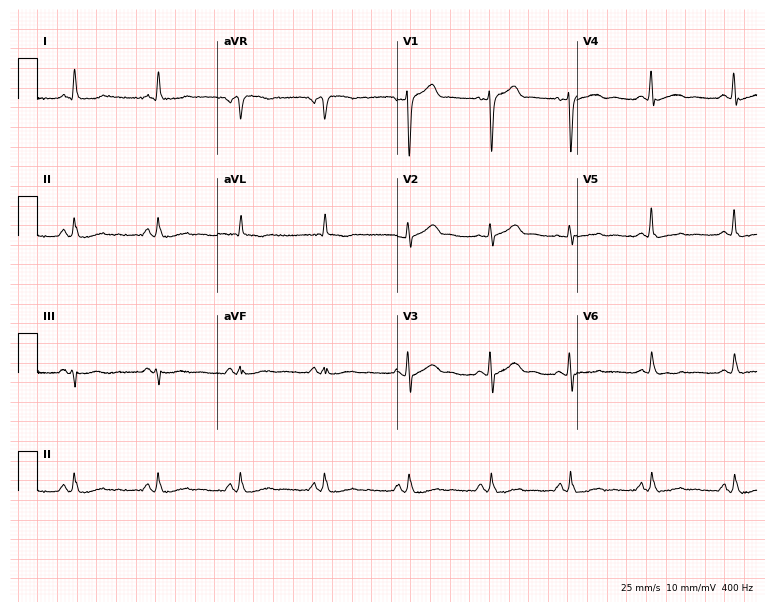
Standard 12-lead ECG recorded from a female, 73 years old. Read as a normal ECG.